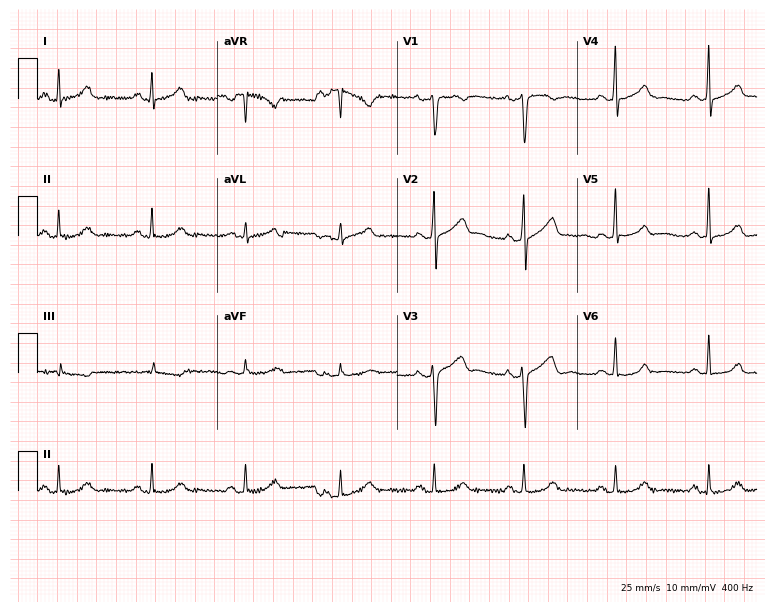
Standard 12-lead ECG recorded from a male patient, 46 years old (7.3-second recording at 400 Hz). Read as a normal ECG.